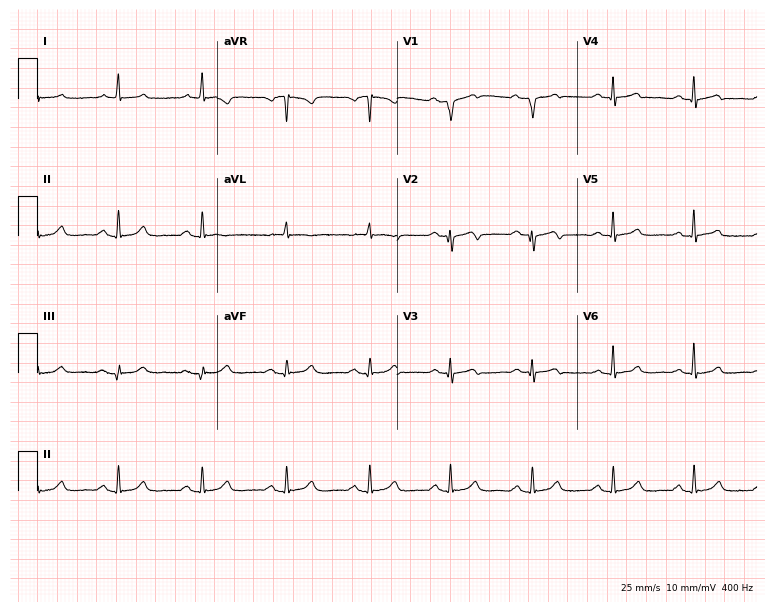
Standard 12-lead ECG recorded from a man, 84 years old. None of these six findings is recorded: first-degree AV block, right bundle branch block, left bundle branch block, sinus bradycardia, atrial fibrillation, sinus tachycardia. Only these six findings were labelled.